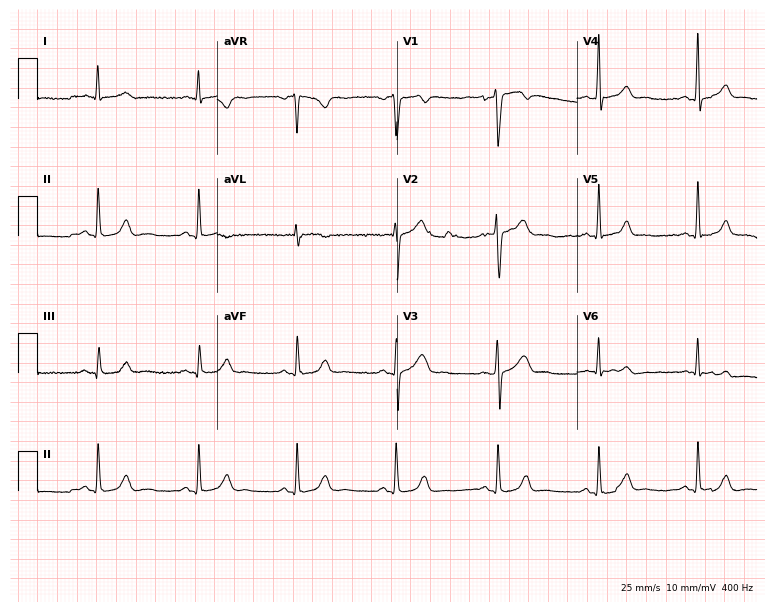
12-lead ECG from a 44-year-old male. Screened for six findings — first-degree AV block, right bundle branch block, left bundle branch block, sinus bradycardia, atrial fibrillation, sinus tachycardia — none is recorded. Findings outside these six are not listed.